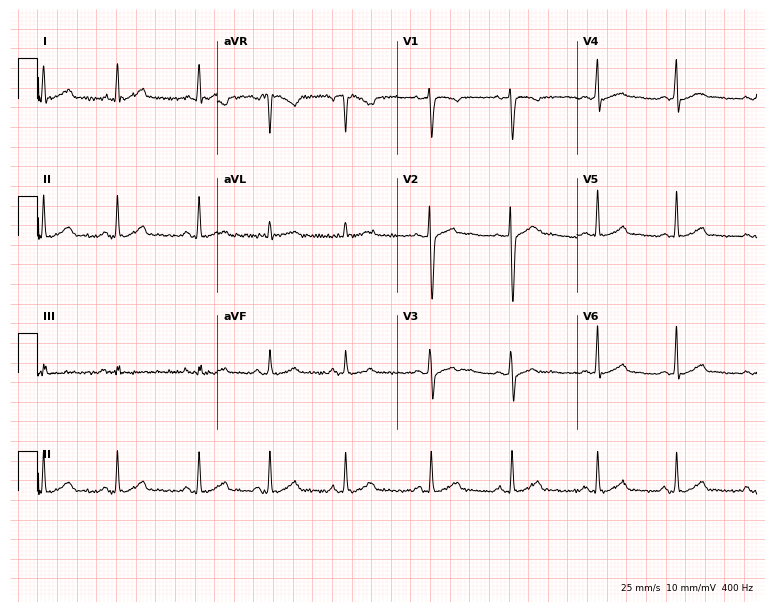
Resting 12-lead electrocardiogram (7.3-second recording at 400 Hz). Patient: a woman, 28 years old. Read as a normal ECG.